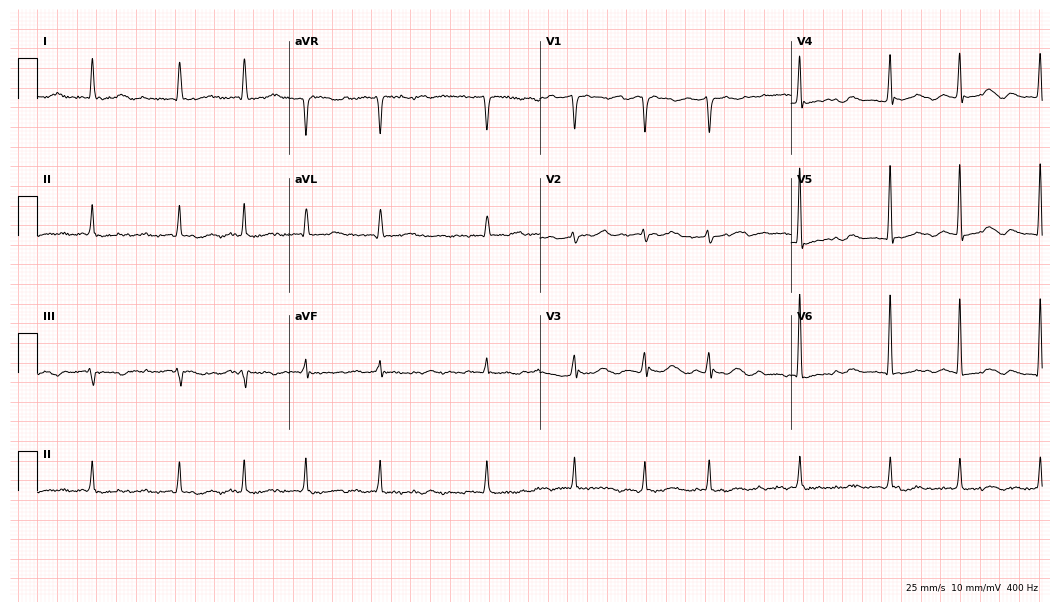
12-lead ECG (10.2-second recording at 400 Hz) from a 69-year-old woman. Findings include atrial fibrillation (AF).